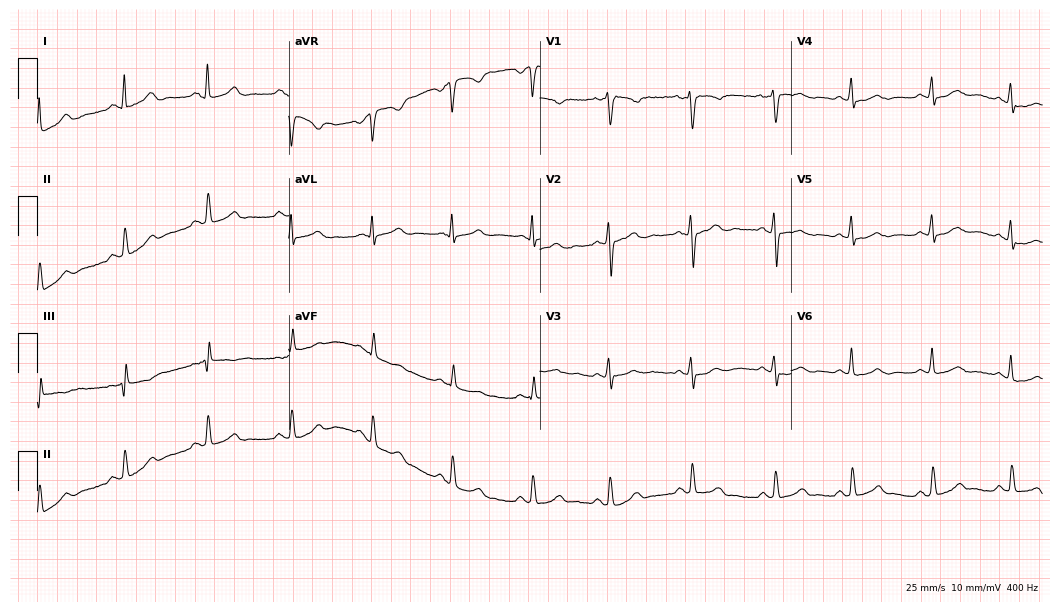
Standard 12-lead ECG recorded from a 36-year-old woman. None of these six findings is recorded: first-degree AV block, right bundle branch block (RBBB), left bundle branch block (LBBB), sinus bradycardia, atrial fibrillation (AF), sinus tachycardia. Only these six findings were labelled.